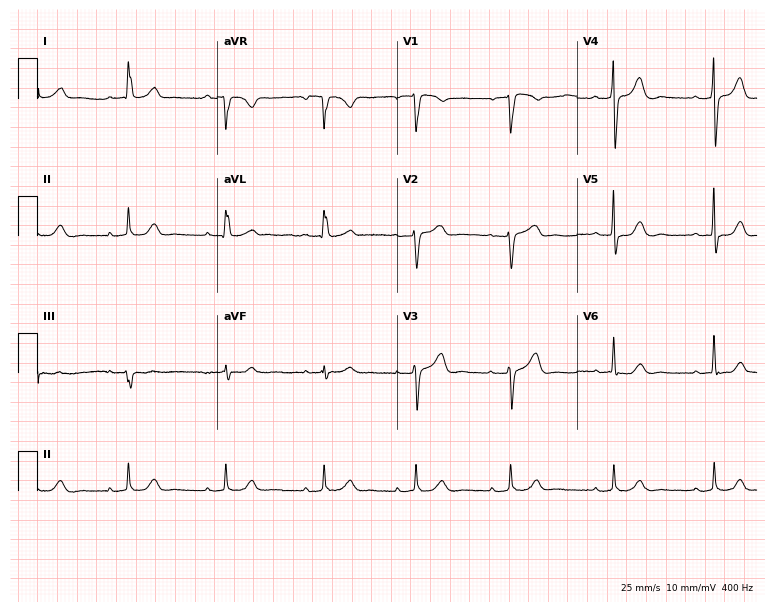
Standard 12-lead ECG recorded from a 58-year-old female (7.3-second recording at 400 Hz). None of these six findings is recorded: first-degree AV block, right bundle branch block (RBBB), left bundle branch block (LBBB), sinus bradycardia, atrial fibrillation (AF), sinus tachycardia. Findings outside these six are not listed.